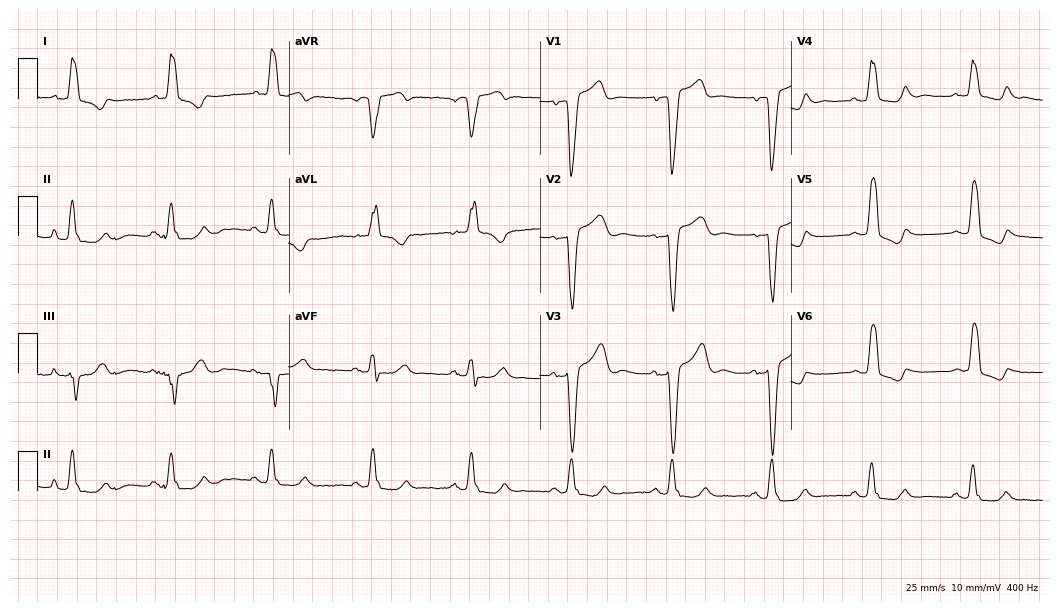
ECG (10.2-second recording at 400 Hz) — a 75-year-old female. Findings include left bundle branch block.